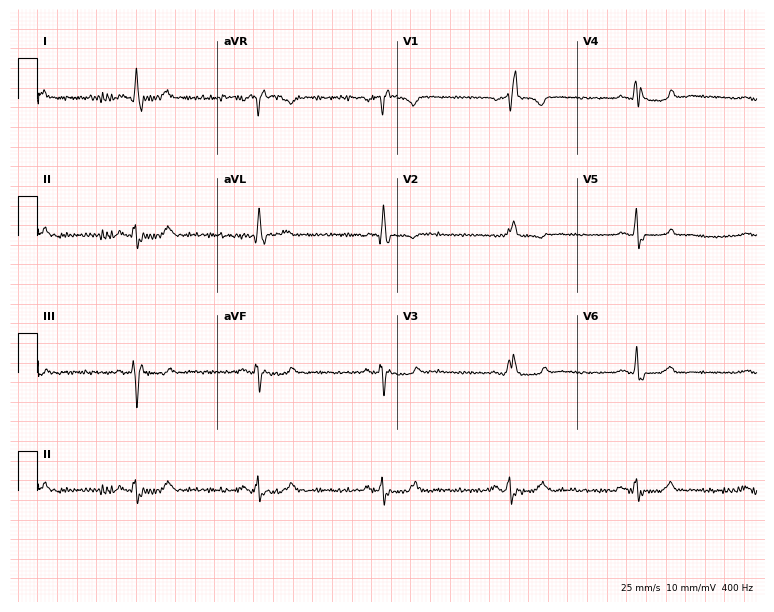
Resting 12-lead electrocardiogram (7.3-second recording at 400 Hz). Patient: a female, 78 years old. The tracing shows right bundle branch block, sinus bradycardia (a sinus rate of 50 beats per minute or less).